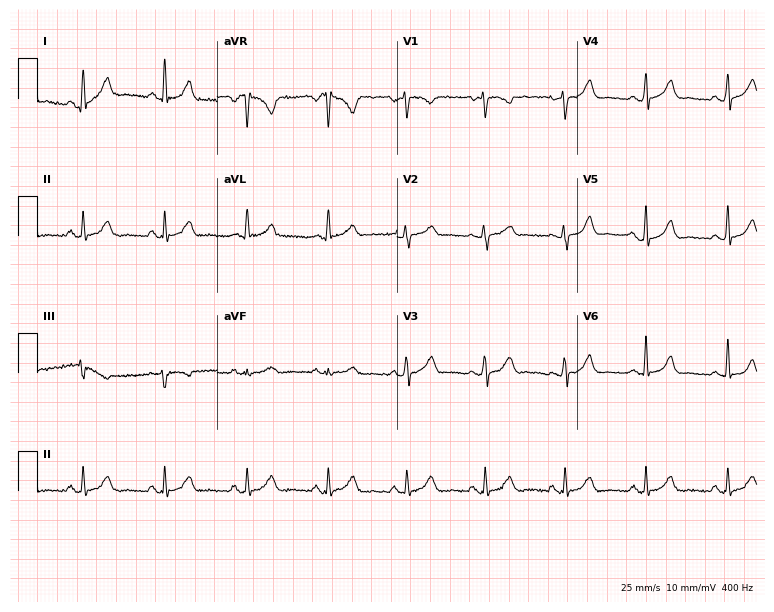
Electrocardiogram (7.3-second recording at 400 Hz), a 37-year-old female patient. Overall reading on record: normal ECG.